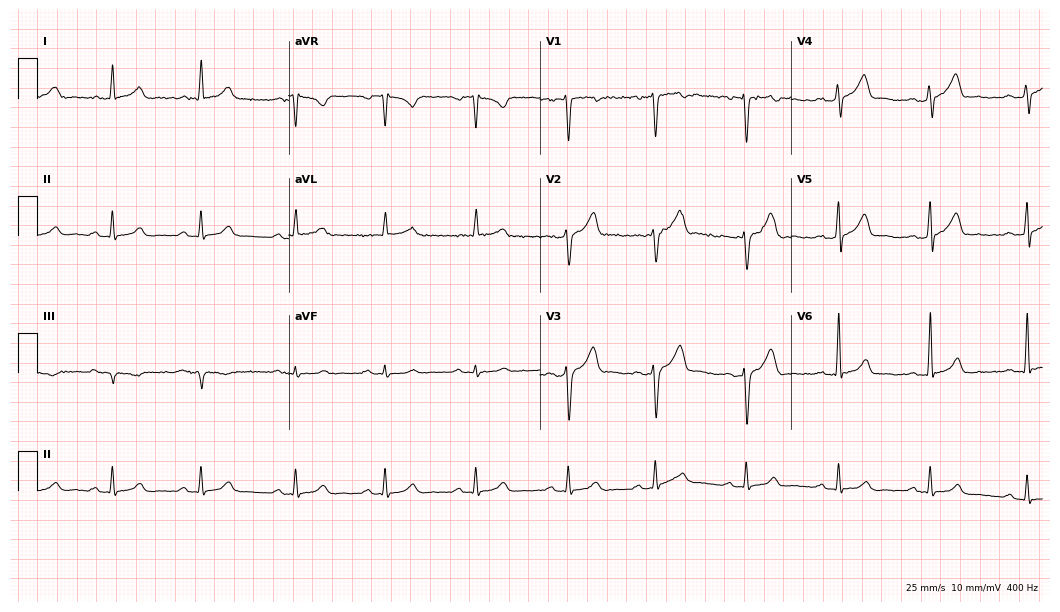
ECG (10.2-second recording at 400 Hz) — a 30-year-old male. Labelled as a normal ECG.